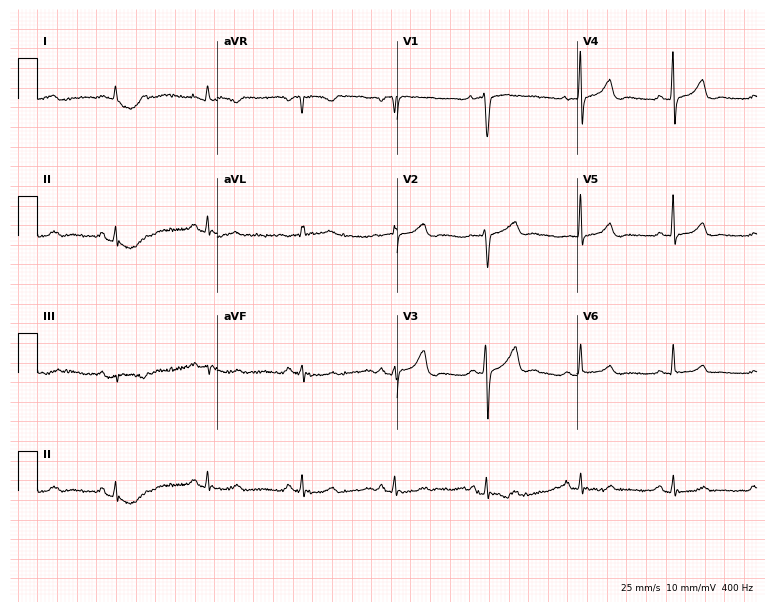
12-lead ECG from a 45-year-old female patient. Screened for six findings — first-degree AV block, right bundle branch block, left bundle branch block, sinus bradycardia, atrial fibrillation, sinus tachycardia — none is recorded. Other findings, if any, are not listed.